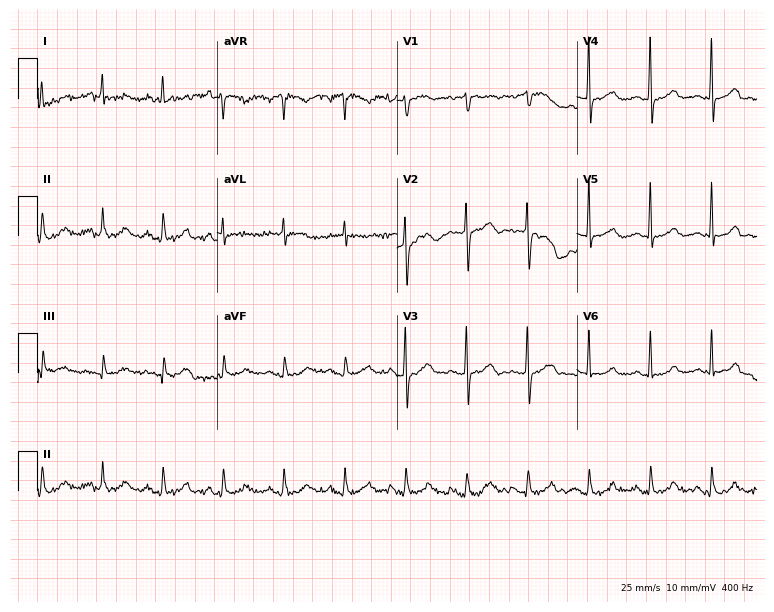
12-lead ECG from a 65-year-old man. Screened for six findings — first-degree AV block, right bundle branch block, left bundle branch block, sinus bradycardia, atrial fibrillation, sinus tachycardia — none is recorded.